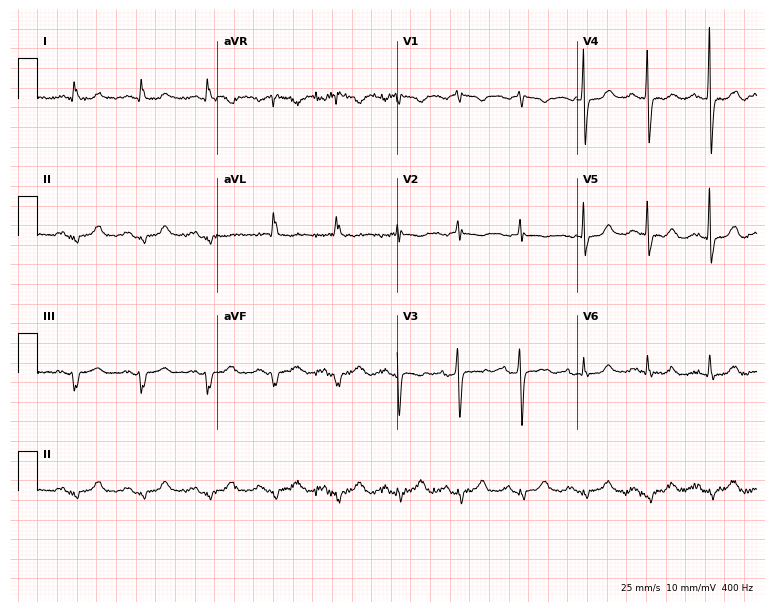
Resting 12-lead electrocardiogram (7.3-second recording at 400 Hz). Patient: a woman, 78 years old. None of these six findings is recorded: first-degree AV block, right bundle branch block, left bundle branch block, sinus bradycardia, atrial fibrillation, sinus tachycardia. Other findings, if any, are not listed.